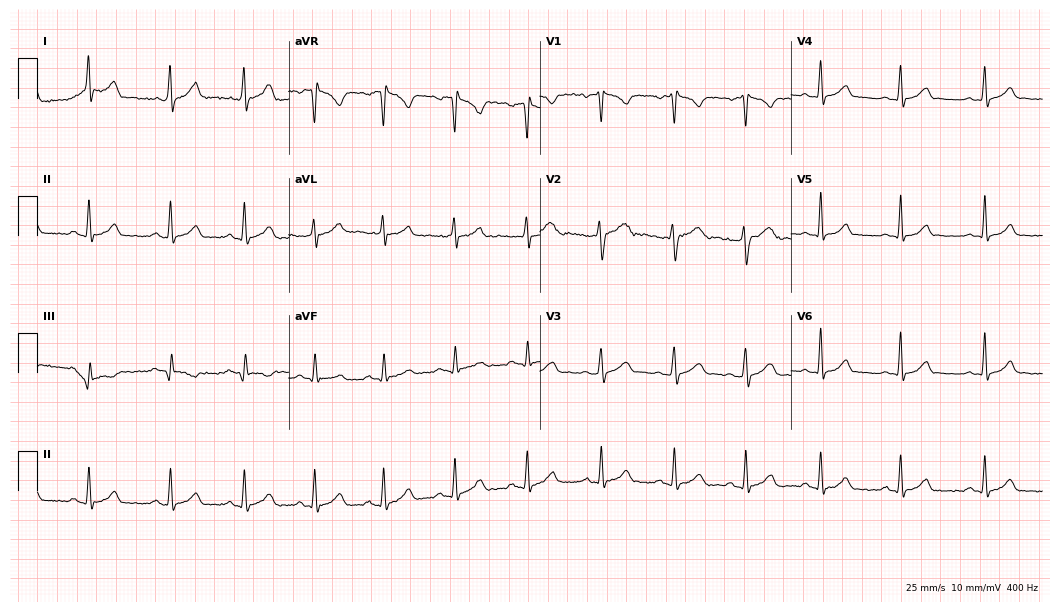
ECG — a 27-year-old female. Screened for six findings — first-degree AV block, right bundle branch block, left bundle branch block, sinus bradycardia, atrial fibrillation, sinus tachycardia — none is recorded.